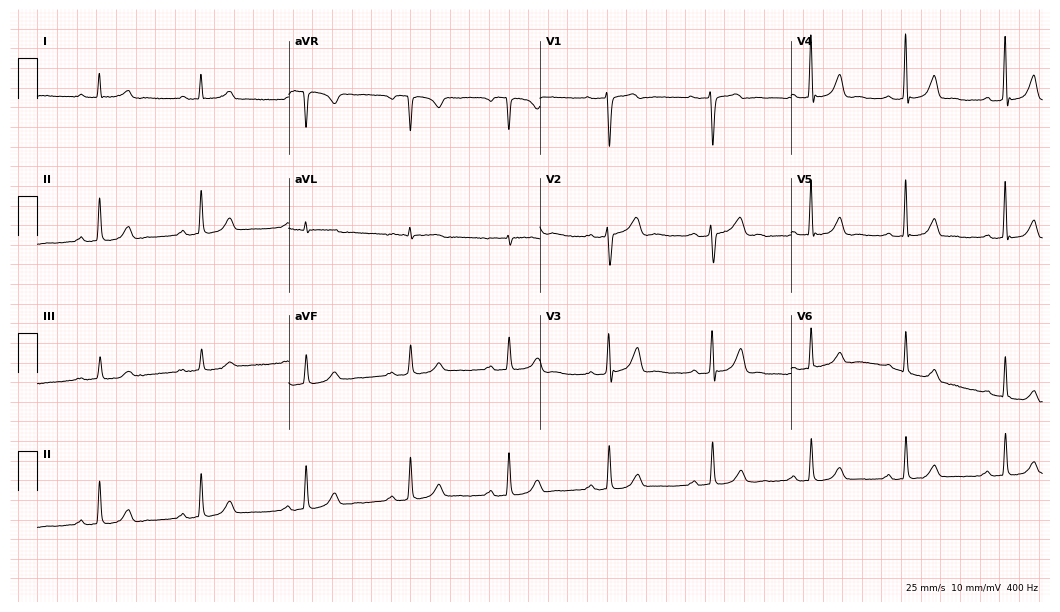
Electrocardiogram (10.2-second recording at 400 Hz), a 57-year-old woman. Interpretation includes first-degree AV block.